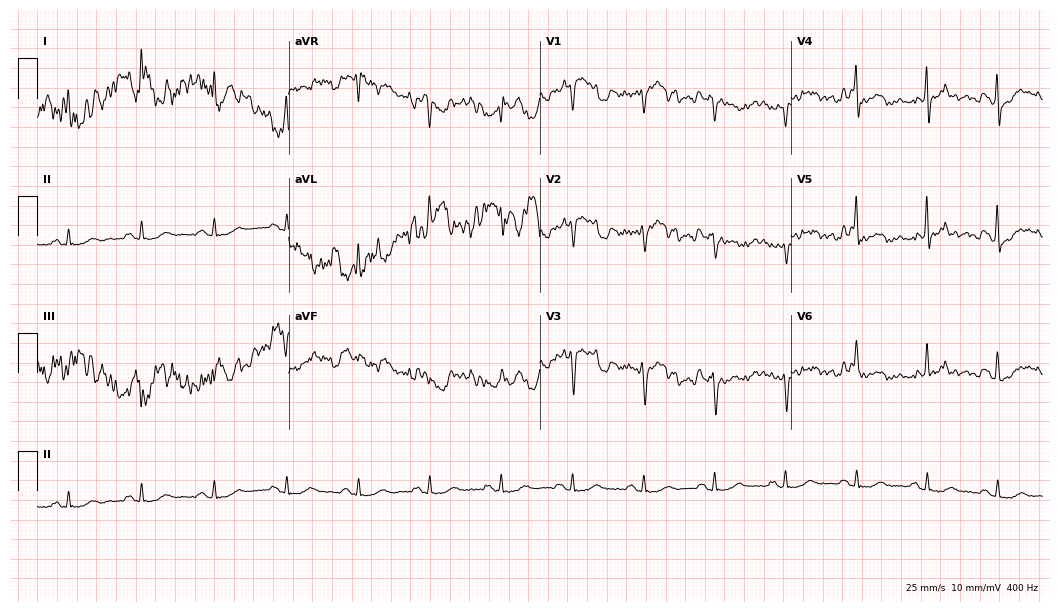
ECG — a woman, 63 years old. Screened for six findings — first-degree AV block, right bundle branch block, left bundle branch block, sinus bradycardia, atrial fibrillation, sinus tachycardia — none is recorded. Only these six findings were labelled.